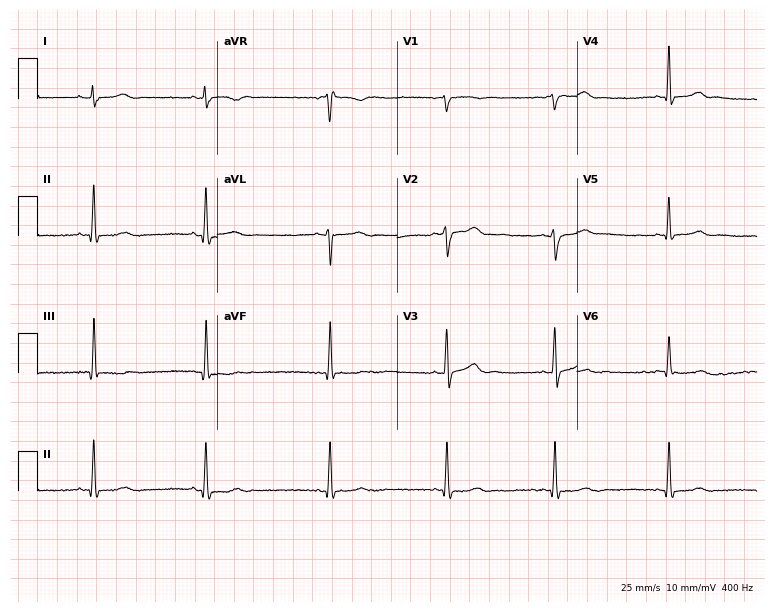
ECG — a female, 20 years old. Screened for six findings — first-degree AV block, right bundle branch block, left bundle branch block, sinus bradycardia, atrial fibrillation, sinus tachycardia — none is recorded.